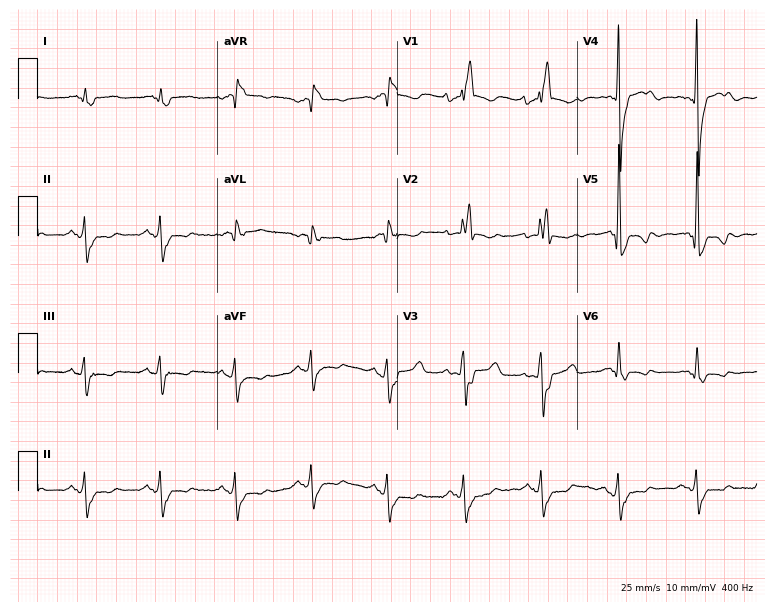
ECG — a 73-year-old man. Screened for six findings — first-degree AV block, right bundle branch block, left bundle branch block, sinus bradycardia, atrial fibrillation, sinus tachycardia — none is recorded.